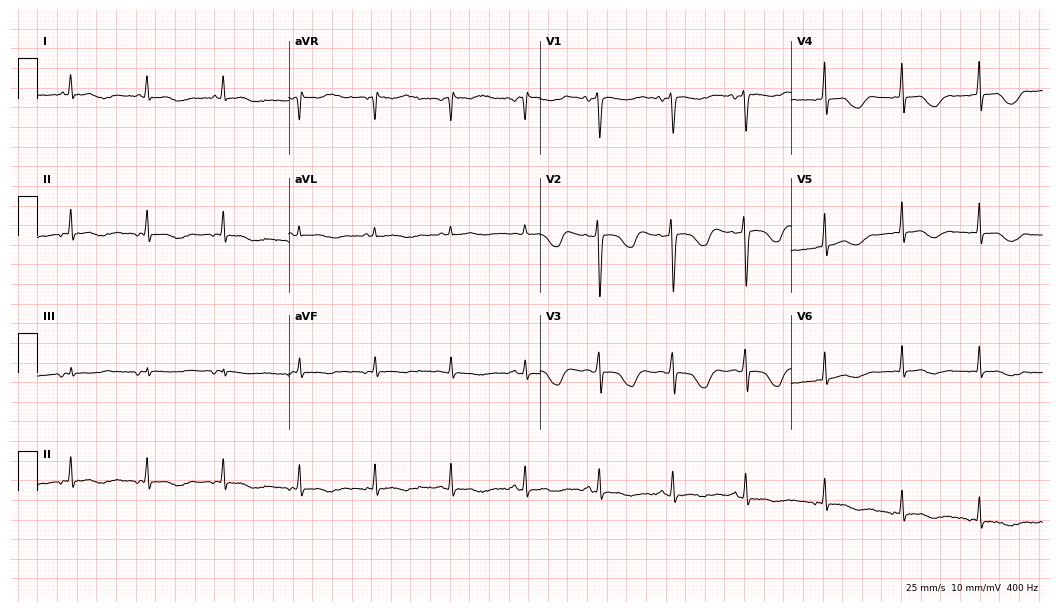
ECG — a female, 44 years old. Labelled as a normal ECG.